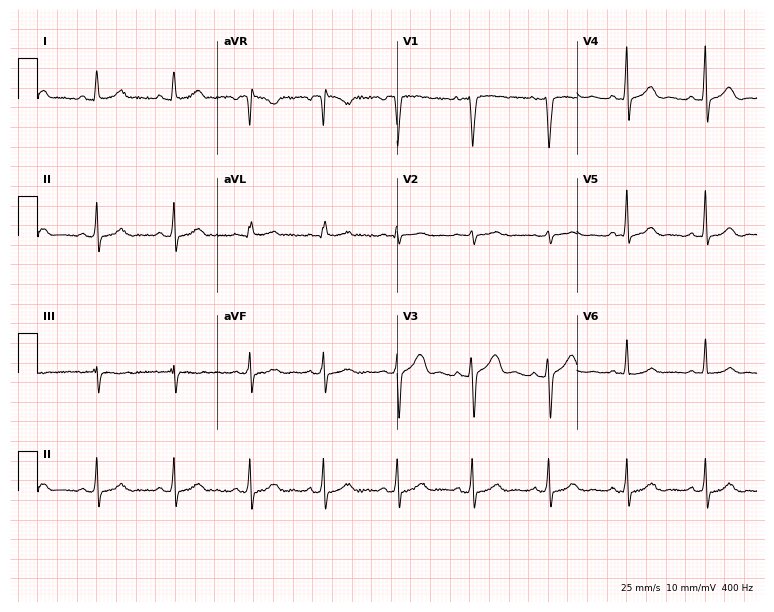
Standard 12-lead ECG recorded from a woman, 38 years old (7.3-second recording at 400 Hz). Read as a normal ECG.